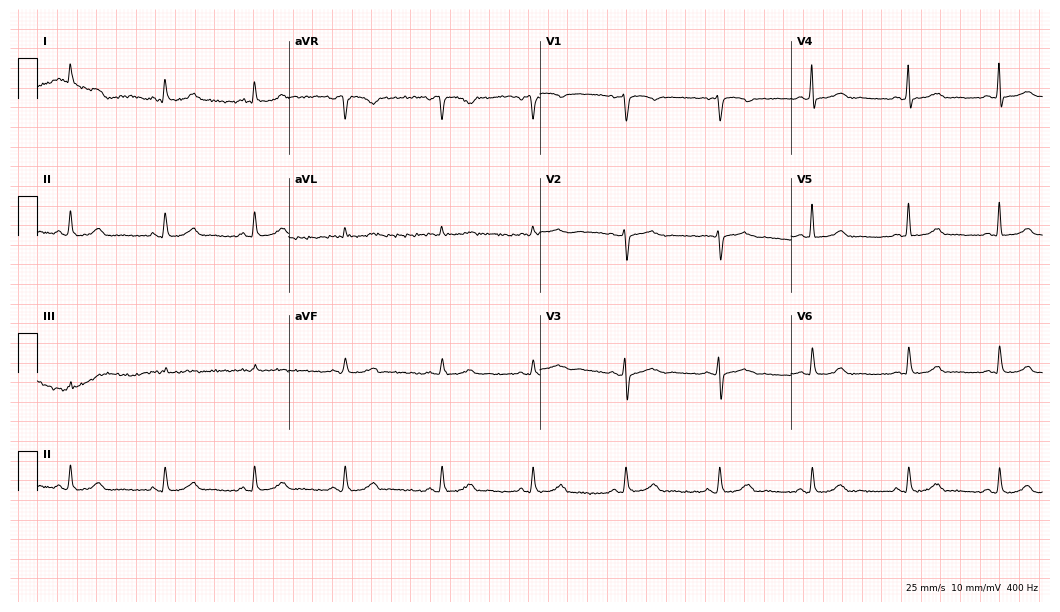
Resting 12-lead electrocardiogram. Patient: a 54-year-old female. Read as a normal ECG.